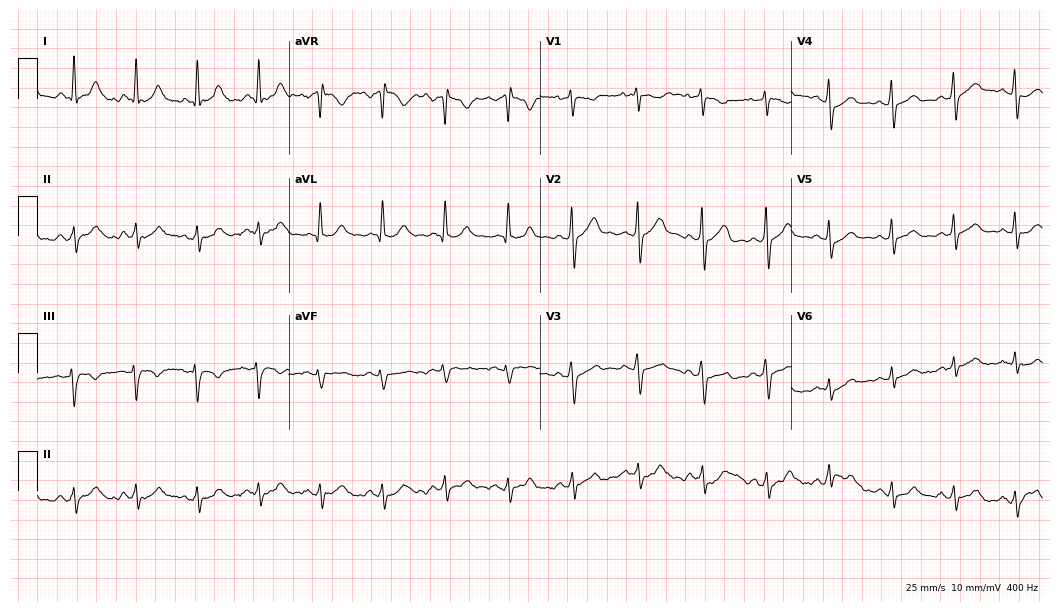
ECG — a man, 47 years old. Labelled as a normal ECG.